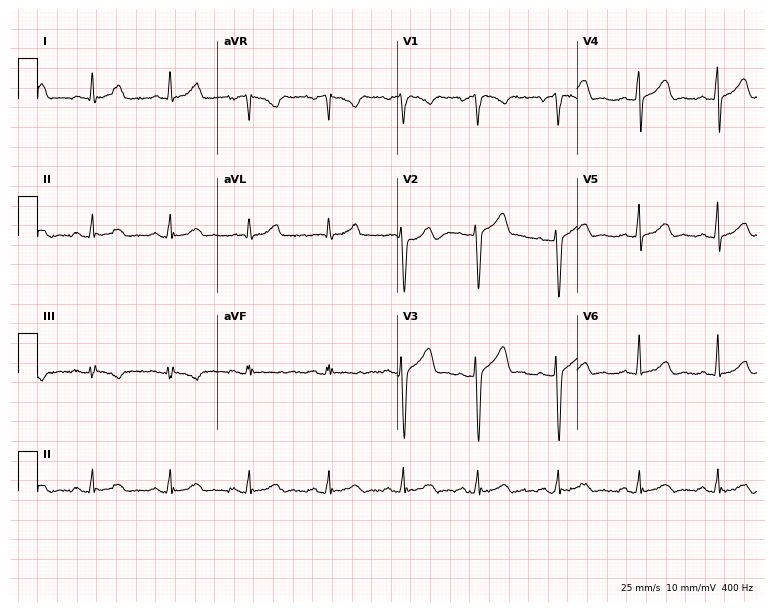
Electrocardiogram (7.3-second recording at 400 Hz), a 38-year-old male patient. Overall reading on record: normal ECG.